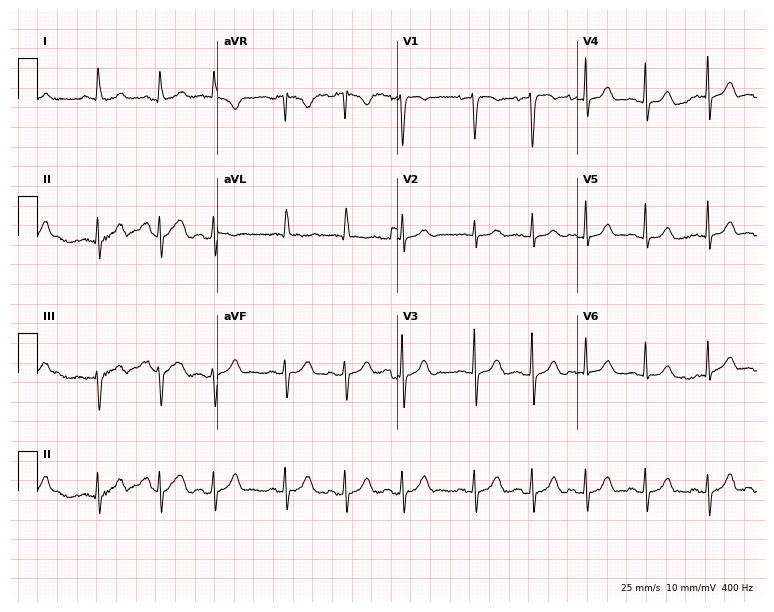
12-lead ECG (7.3-second recording at 400 Hz) from a 77-year-old female patient. Screened for six findings — first-degree AV block, right bundle branch block, left bundle branch block, sinus bradycardia, atrial fibrillation, sinus tachycardia — none is recorded.